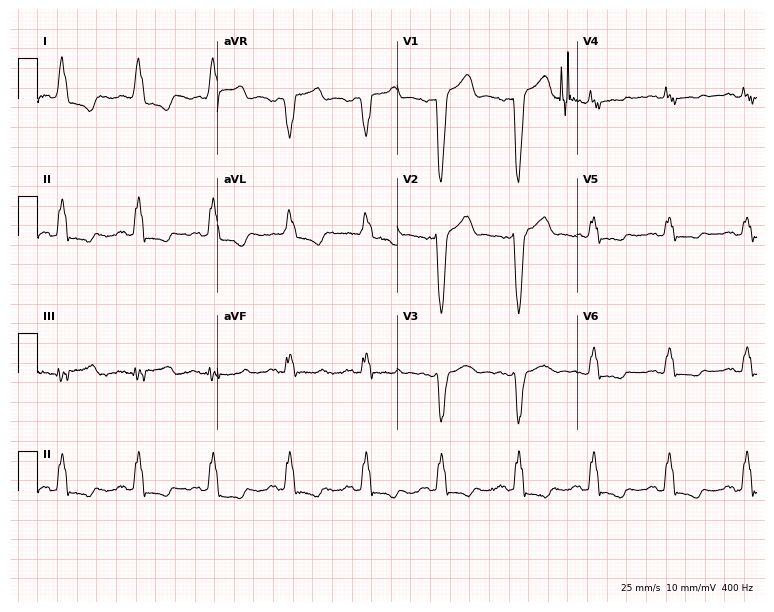
ECG — a female, 81 years old. Findings include left bundle branch block.